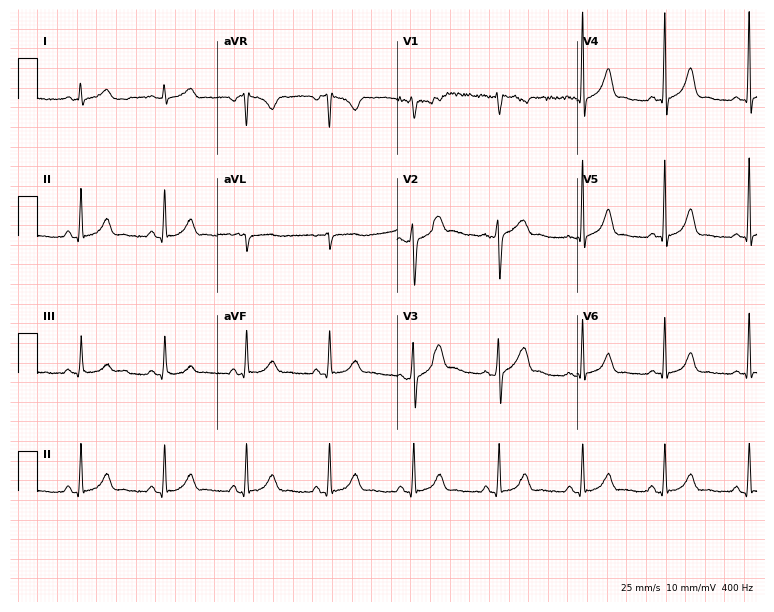
Standard 12-lead ECG recorded from a 26-year-old man (7.3-second recording at 400 Hz). Read as a normal ECG.